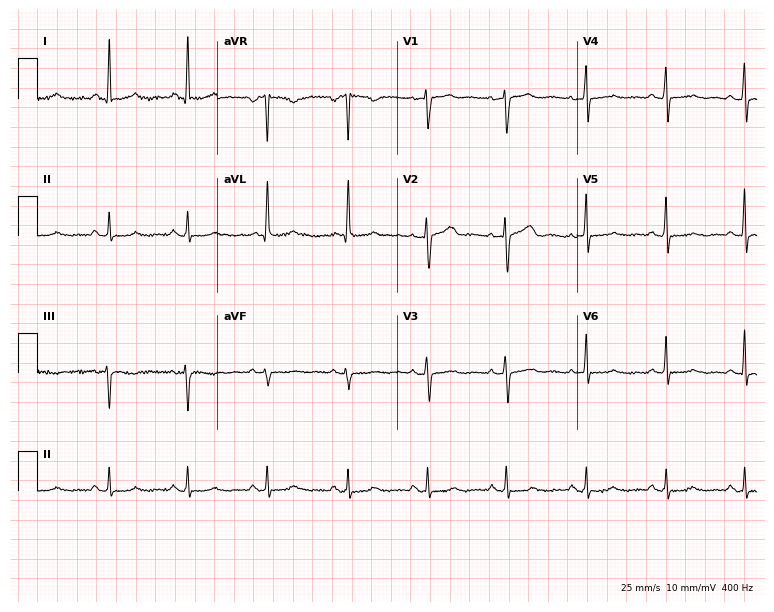
Resting 12-lead electrocardiogram (7.3-second recording at 400 Hz). Patient: a female, 72 years old. None of these six findings is recorded: first-degree AV block, right bundle branch block, left bundle branch block, sinus bradycardia, atrial fibrillation, sinus tachycardia. Only these six findings were labelled.